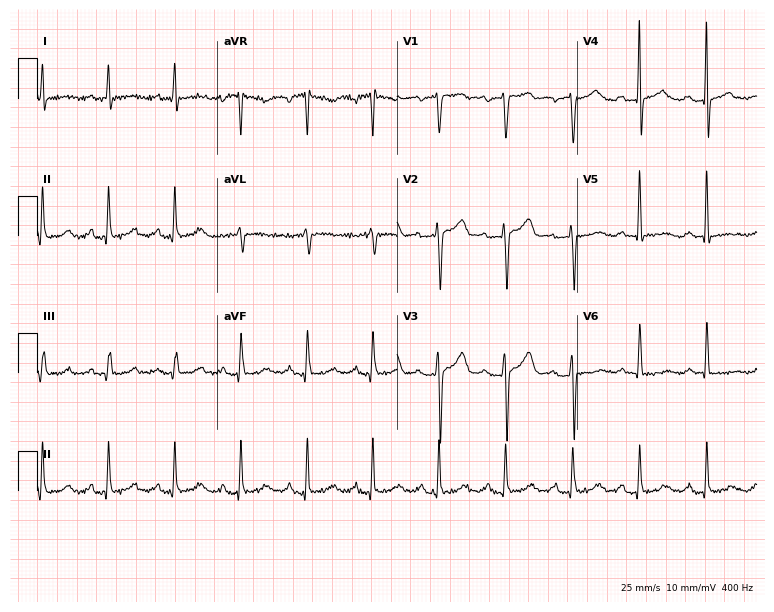
12-lead ECG (7.3-second recording at 400 Hz) from a 60-year-old woman. Screened for six findings — first-degree AV block, right bundle branch block (RBBB), left bundle branch block (LBBB), sinus bradycardia, atrial fibrillation (AF), sinus tachycardia — none is recorded.